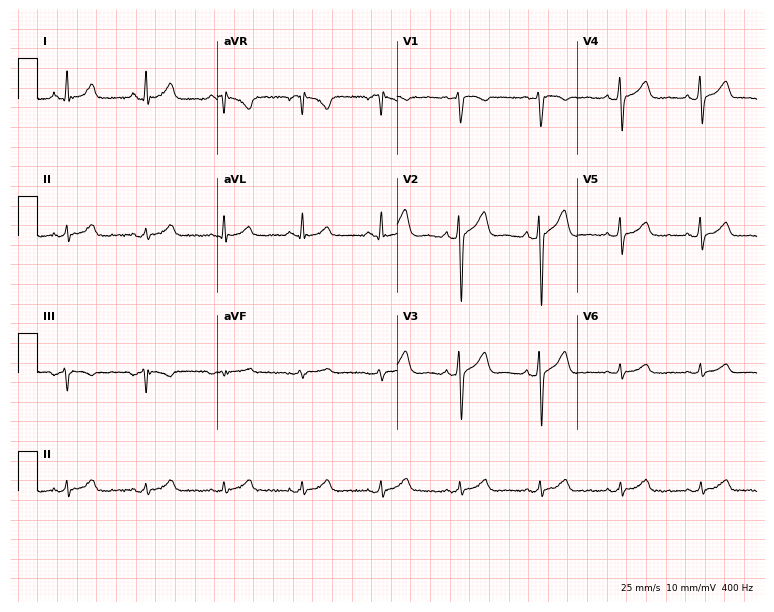
Resting 12-lead electrocardiogram (7.3-second recording at 400 Hz). Patient: a man, 61 years old. Read as a normal ECG.